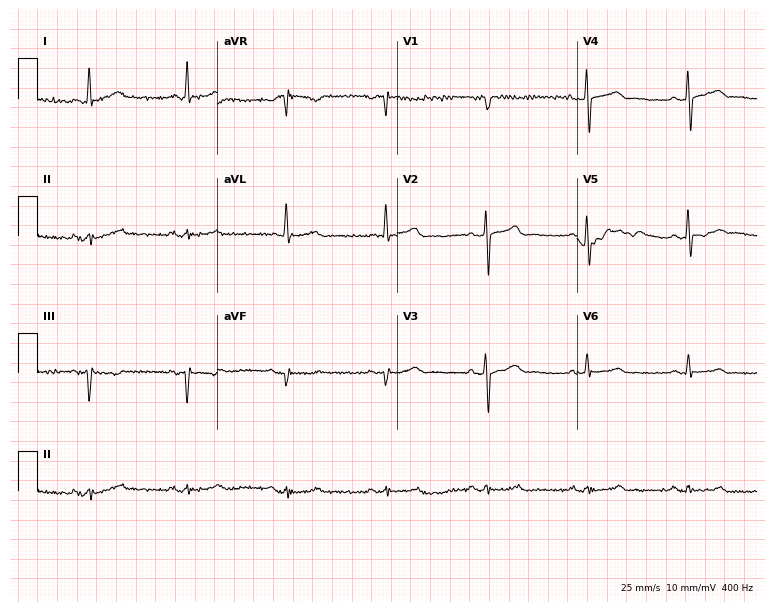
12-lead ECG (7.3-second recording at 400 Hz) from a male, 66 years old. Labelled as a normal ECG.